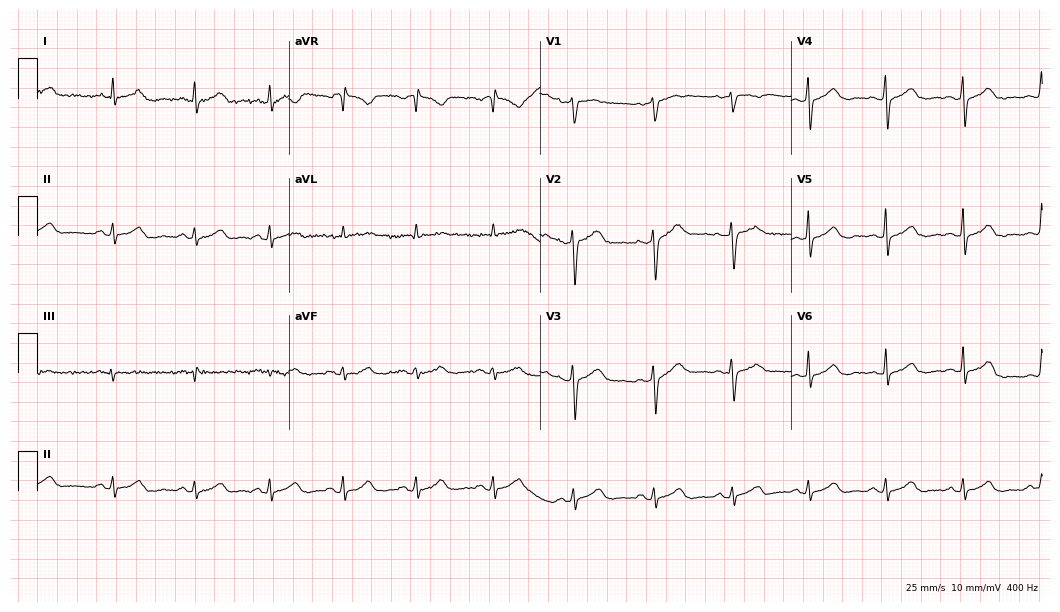
Electrocardiogram, a 49-year-old woman. Of the six screened findings (first-degree AV block, right bundle branch block, left bundle branch block, sinus bradycardia, atrial fibrillation, sinus tachycardia), none is recorded. Only these six findings were labelled.